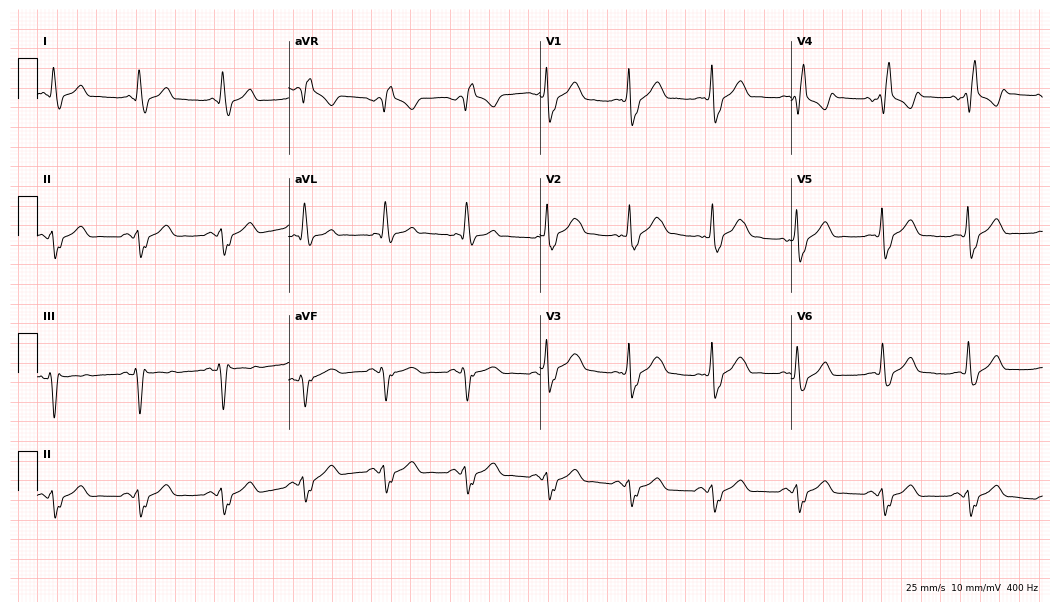
Resting 12-lead electrocardiogram. Patient: a 58-year-old man. None of these six findings is recorded: first-degree AV block, right bundle branch block (RBBB), left bundle branch block (LBBB), sinus bradycardia, atrial fibrillation (AF), sinus tachycardia. Findings outside these six are not listed.